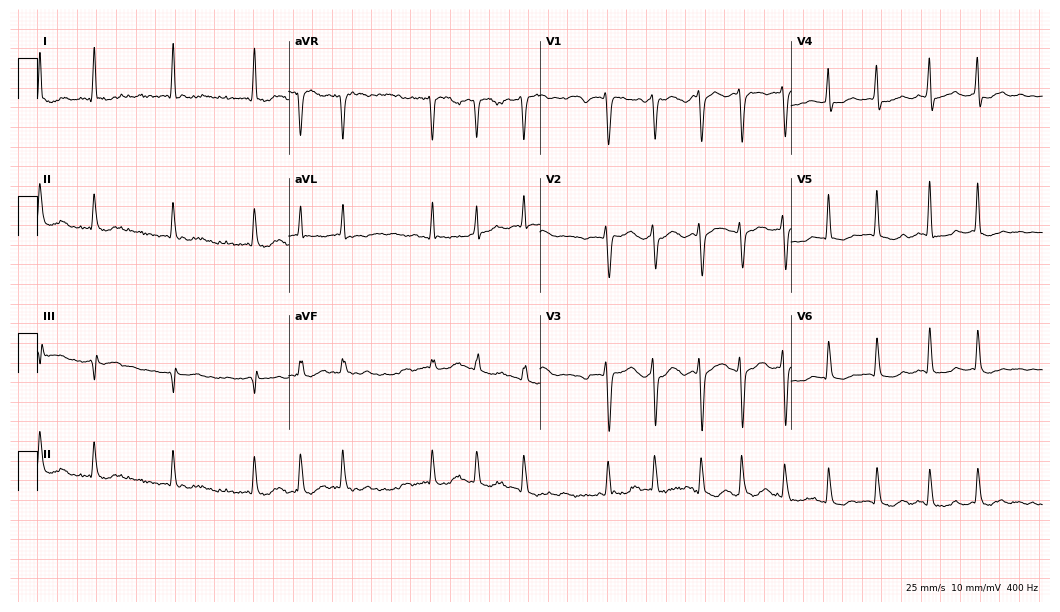
12-lead ECG from a female, 70 years old (10.2-second recording at 400 Hz). Shows atrial fibrillation (AF).